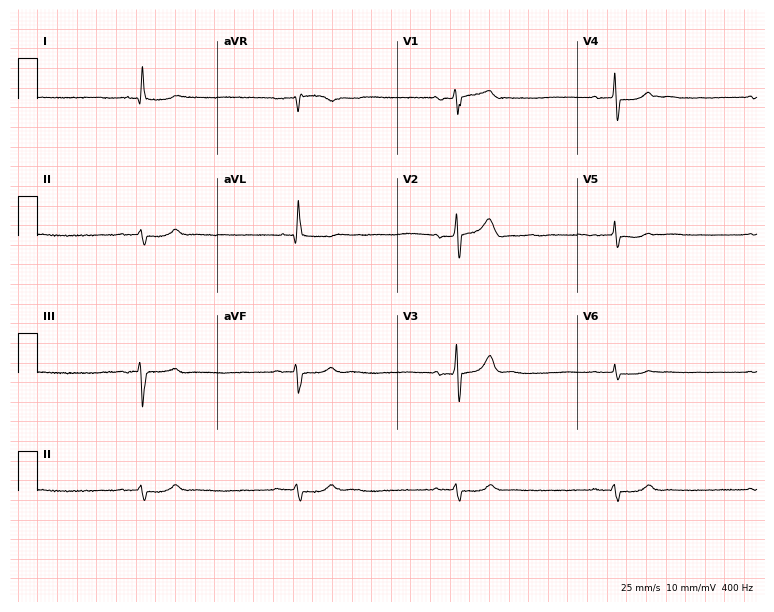
Electrocardiogram, a male, 77 years old. Of the six screened findings (first-degree AV block, right bundle branch block, left bundle branch block, sinus bradycardia, atrial fibrillation, sinus tachycardia), none is recorded. Other findings, if any, are not listed.